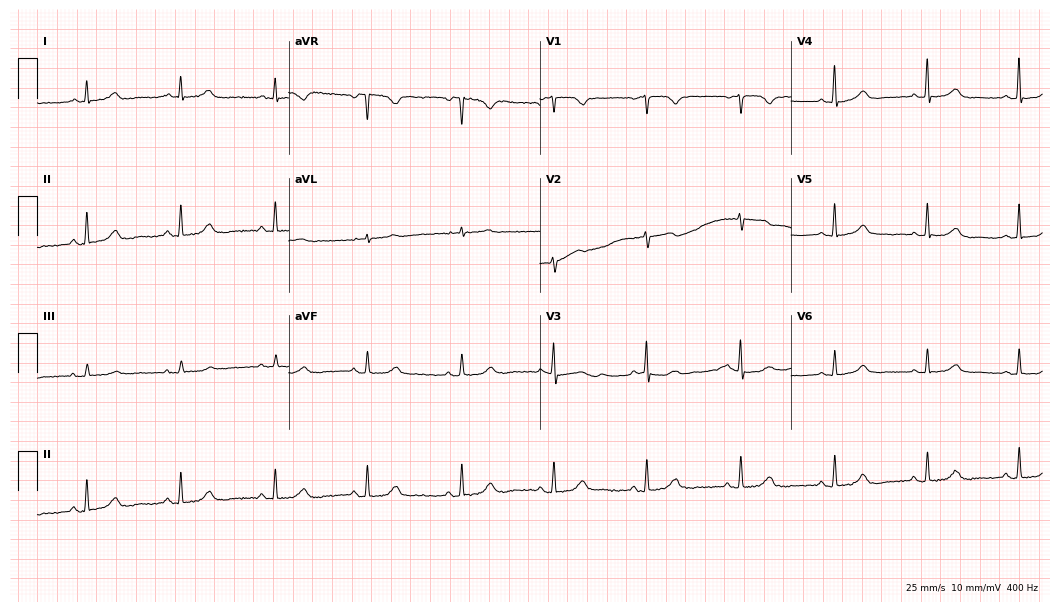
Resting 12-lead electrocardiogram. Patient: a woman, 69 years old. Read as a normal ECG.